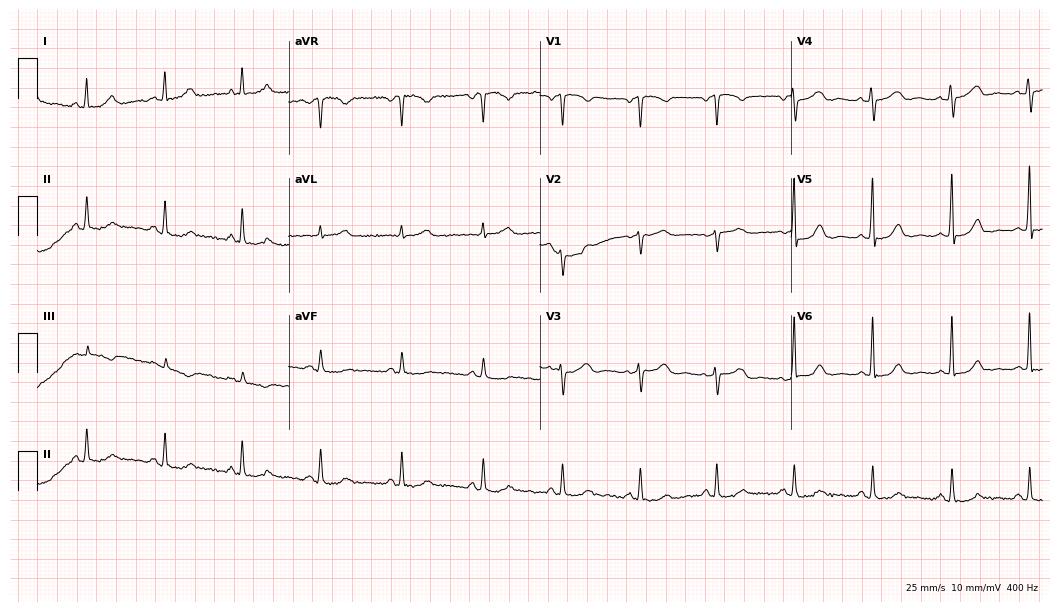
12-lead ECG from a woman, 47 years old. Labelled as a normal ECG.